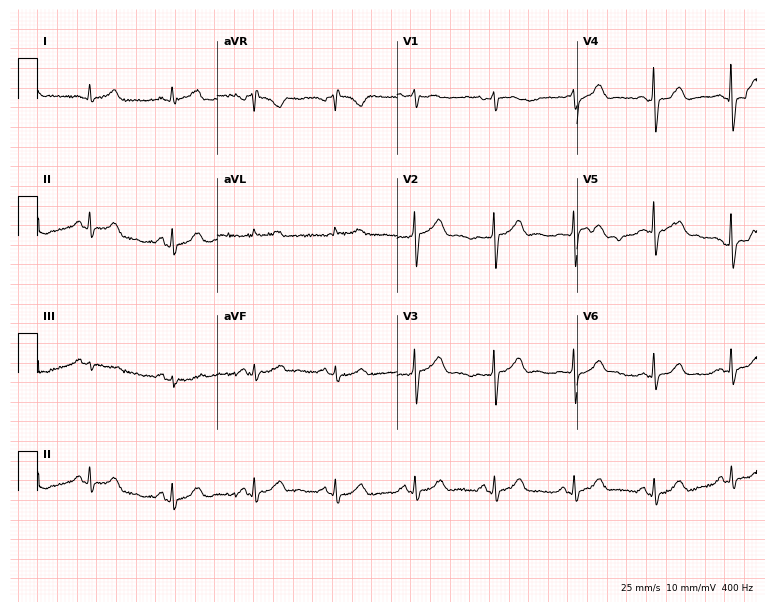
12-lead ECG from a female patient, 60 years old (7.3-second recording at 400 Hz). Recorded interpretation: within normal limits.